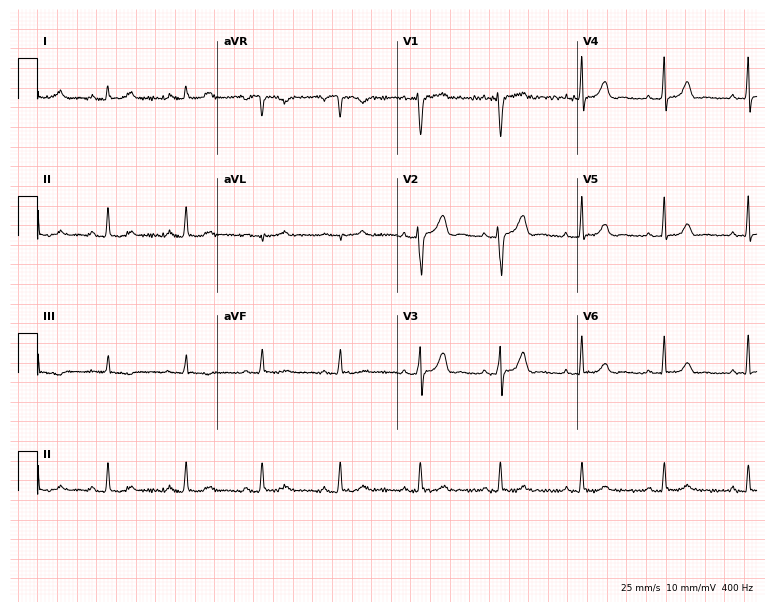
12-lead ECG from a female, 27 years old (7.3-second recording at 400 Hz). Recorded interpretation: within normal limits.